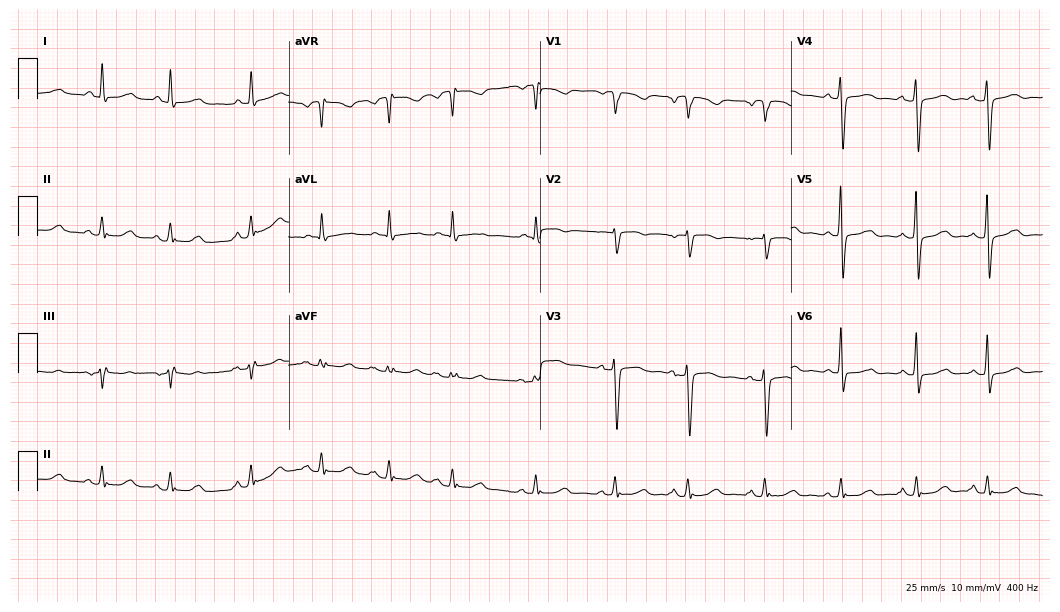
12-lead ECG from a 60-year-old female (10.2-second recording at 400 Hz). No first-degree AV block, right bundle branch block (RBBB), left bundle branch block (LBBB), sinus bradycardia, atrial fibrillation (AF) or sinus tachycardia recorded for this tracing.